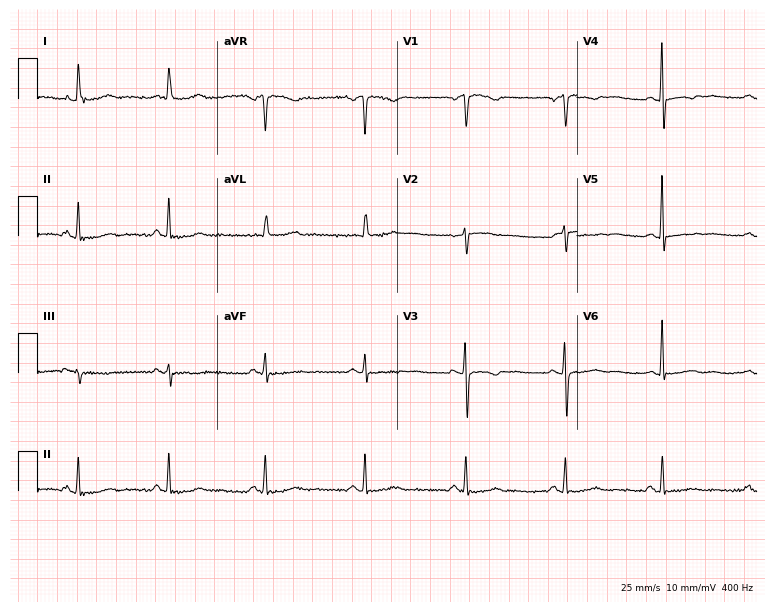
Standard 12-lead ECG recorded from a female, 65 years old. None of these six findings is recorded: first-degree AV block, right bundle branch block (RBBB), left bundle branch block (LBBB), sinus bradycardia, atrial fibrillation (AF), sinus tachycardia. Only these six findings were labelled.